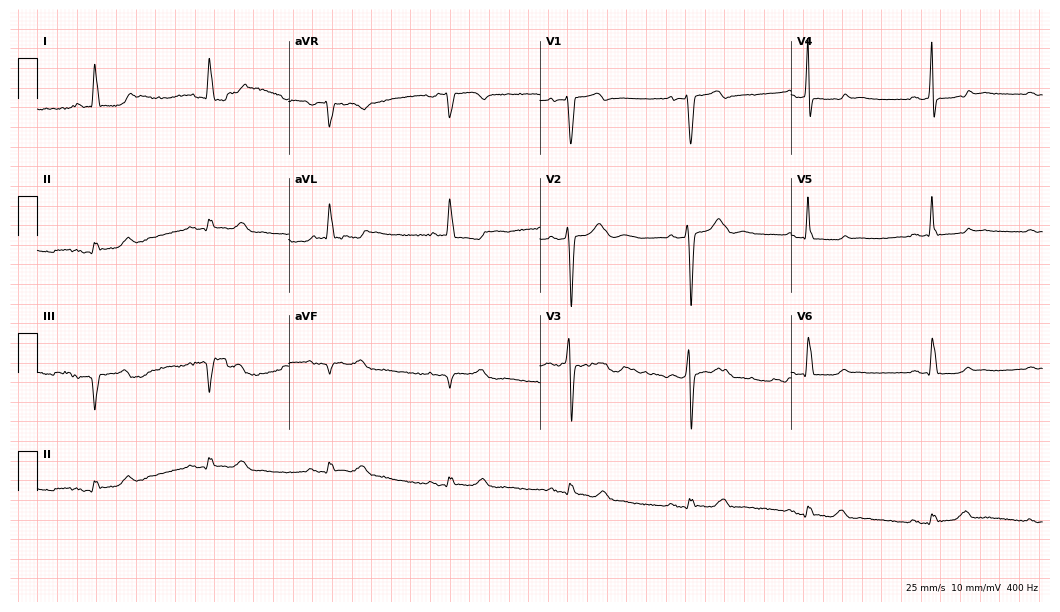
ECG (10.2-second recording at 400 Hz) — a female patient, 57 years old. Findings include sinus bradycardia (a sinus rate of 50 beats per minute or less).